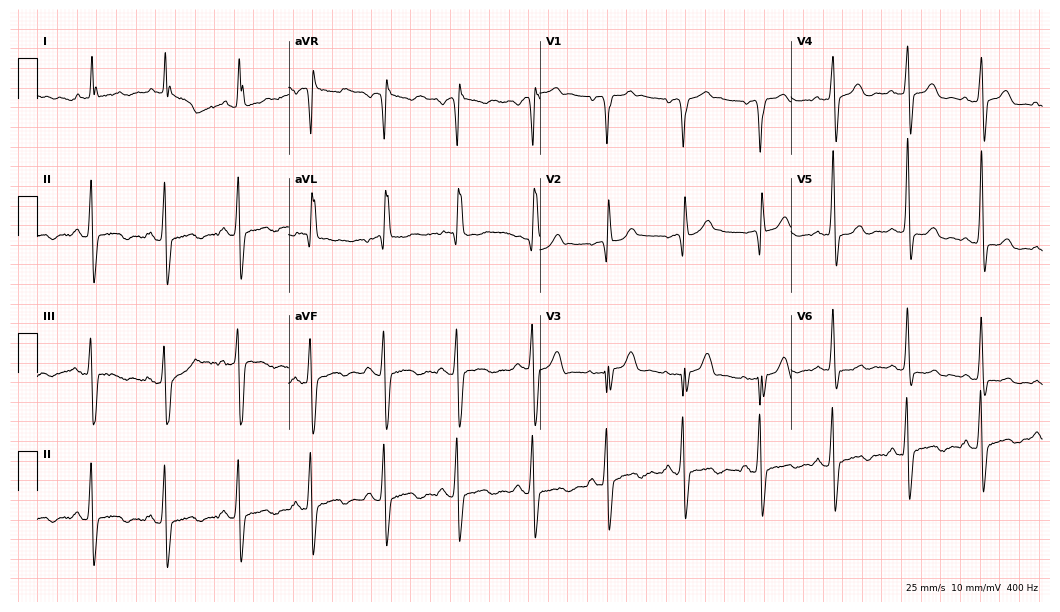
Standard 12-lead ECG recorded from a woman, 74 years old (10.2-second recording at 400 Hz). None of these six findings is recorded: first-degree AV block, right bundle branch block, left bundle branch block, sinus bradycardia, atrial fibrillation, sinus tachycardia. Other findings, if any, are not listed.